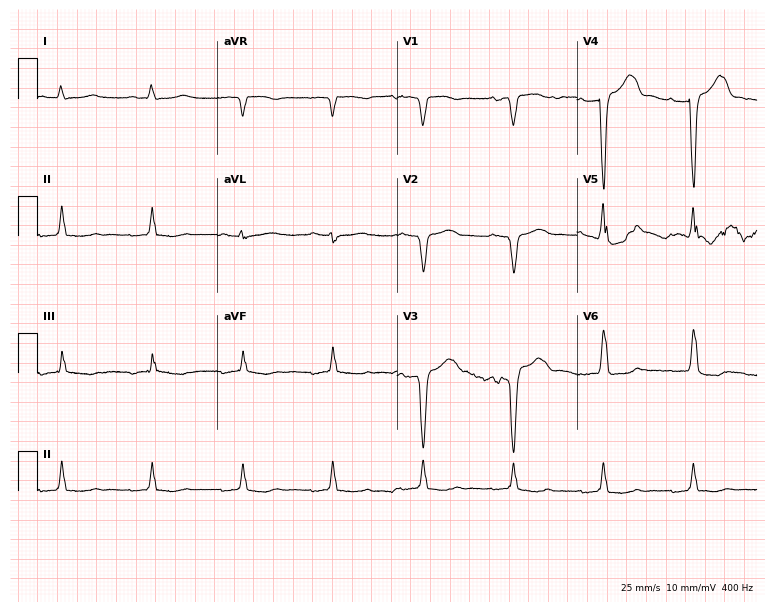
Resting 12-lead electrocardiogram. Patient: a male, 72 years old. None of these six findings is recorded: first-degree AV block, right bundle branch block (RBBB), left bundle branch block (LBBB), sinus bradycardia, atrial fibrillation (AF), sinus tachycardia. Only these six findings were labelled.